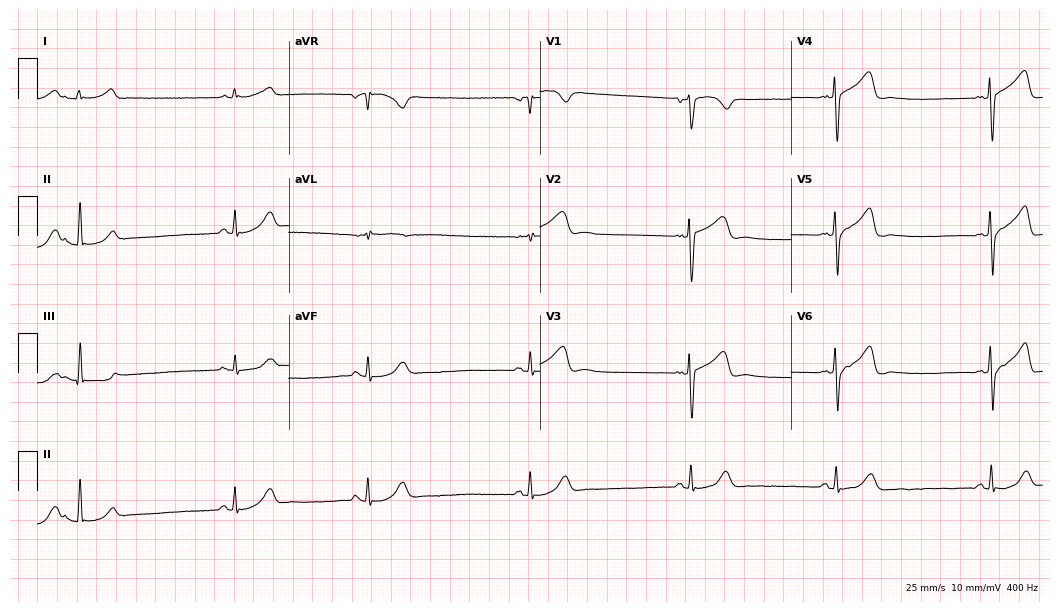
Electrocardiogram (10.2-second recording at 400 Hz), a 76-year-old man. Interpretation includes sinus bradycardia (a sinus rate of 50 beats per minute or less).